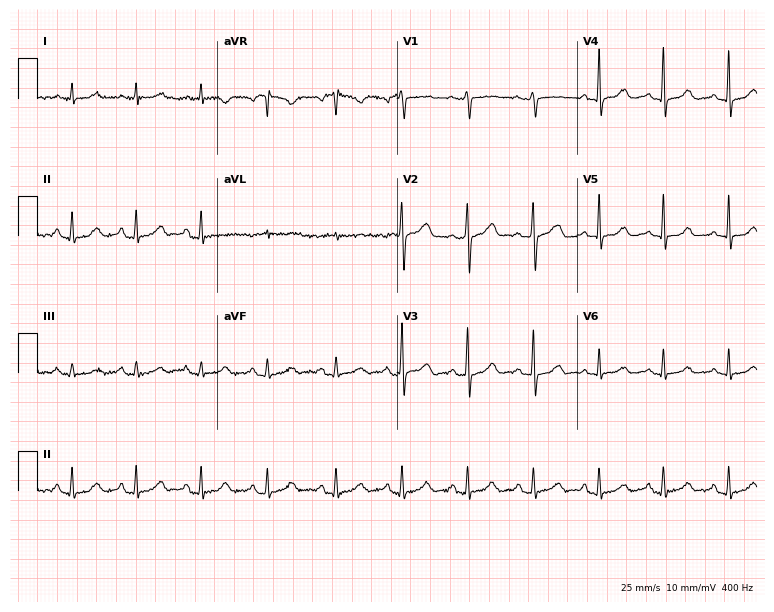
ECG (7.3-second recording at 400 Hz) — a 46-year-old male. Screened for six findings — first-degree AV block, right bundle branch block, left bundle branch block, sinus bradycardia, atrial fibrillation, sinus tachycardia — none is recorded.